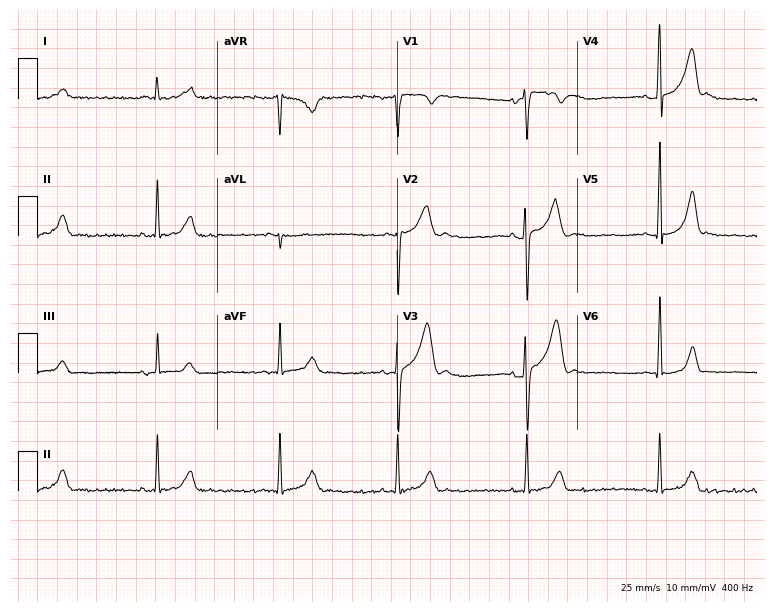
Electrocardiogram (7.3-second recording at 400 Hz), a 37-year-old male patient. Overall reading on record: normal ECG.